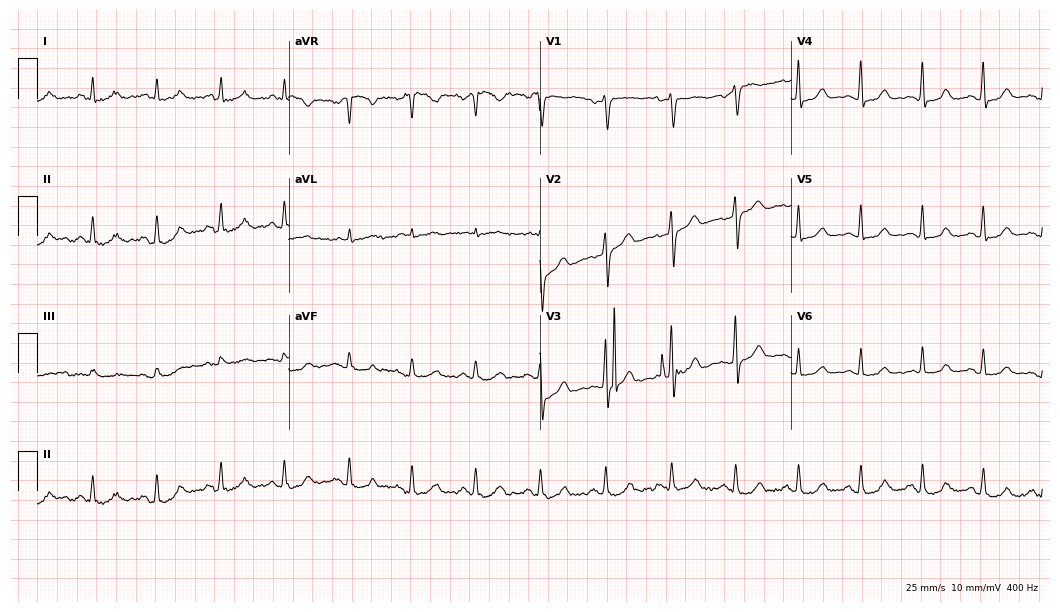
ECG (10.2-second recording at 400 Hz) — a female, 69 years old. Screened for six findings — first-degree AV block, right bundle branch block, left bundle branch block, sinus bradycardia, atrial fibrillation, sinus tachycardia — none is recorded.